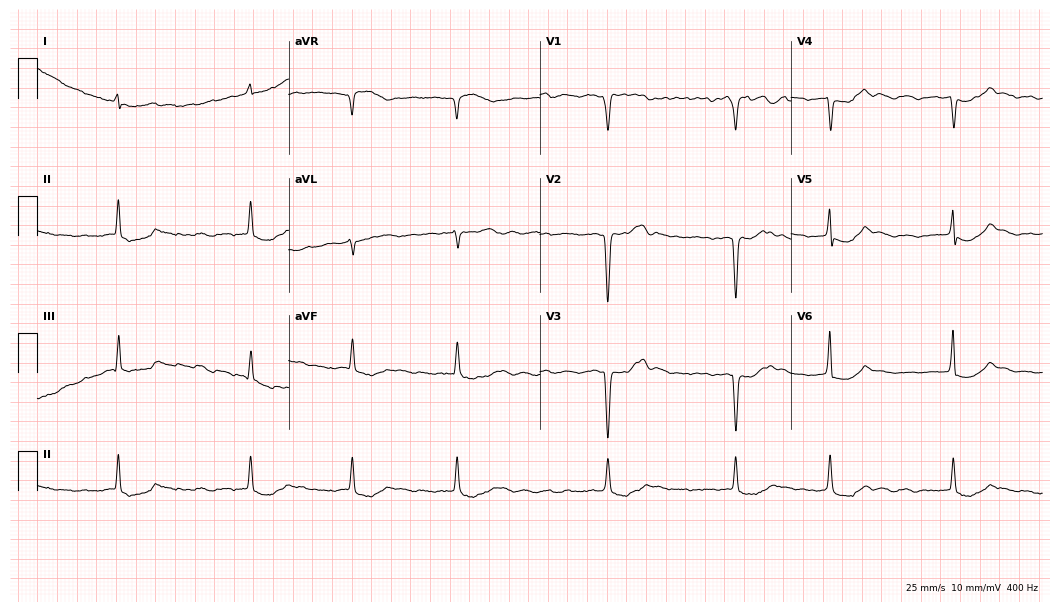
12-lead ECG from a female, 75 years old. Shows atrial fibrillation.